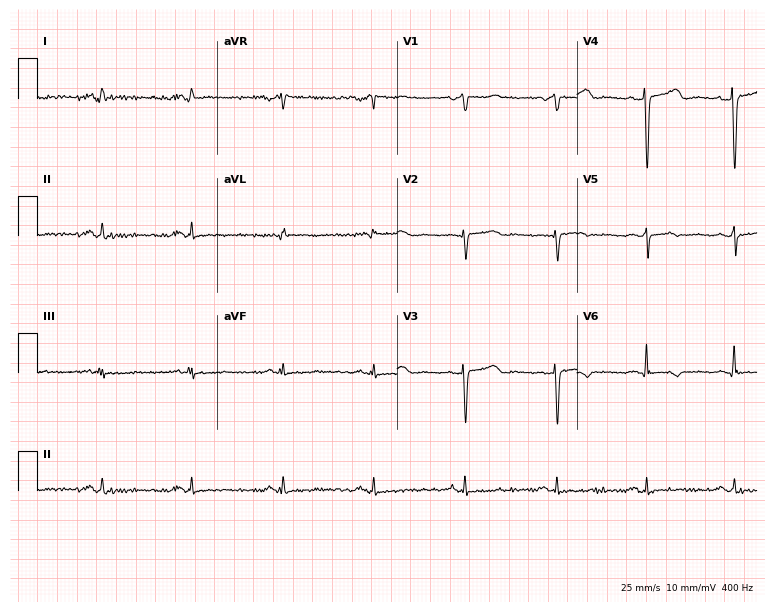
Standard 12-lead ECG recorded from a female, 49 years old. None of these six findings is recorded: first-degree AV block, right bundle branch block (RBBB), left bundle branch block (LBBB), sinus bradycardia, atrial fibrillation (AF), sinus tachycardia.